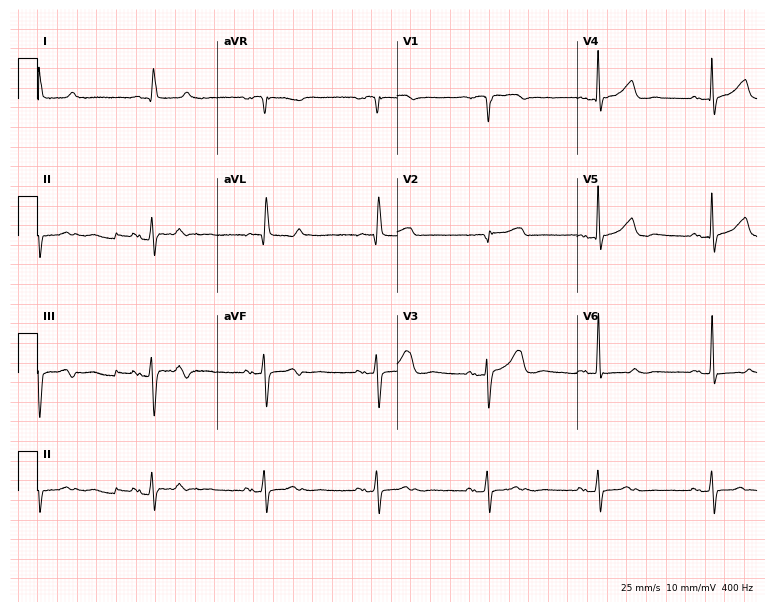
12-lead ECG from a female patient, 79 years old (7.3-second recording at 400 Hz). No first-degree AV block, right bundle branch block (RBBB), left bundle branch block (LBBB), sinus bradycardia, atrial fibrillation (AF) or sinus tachycardia recorded for this tracing. Findings outside these six are not listed.